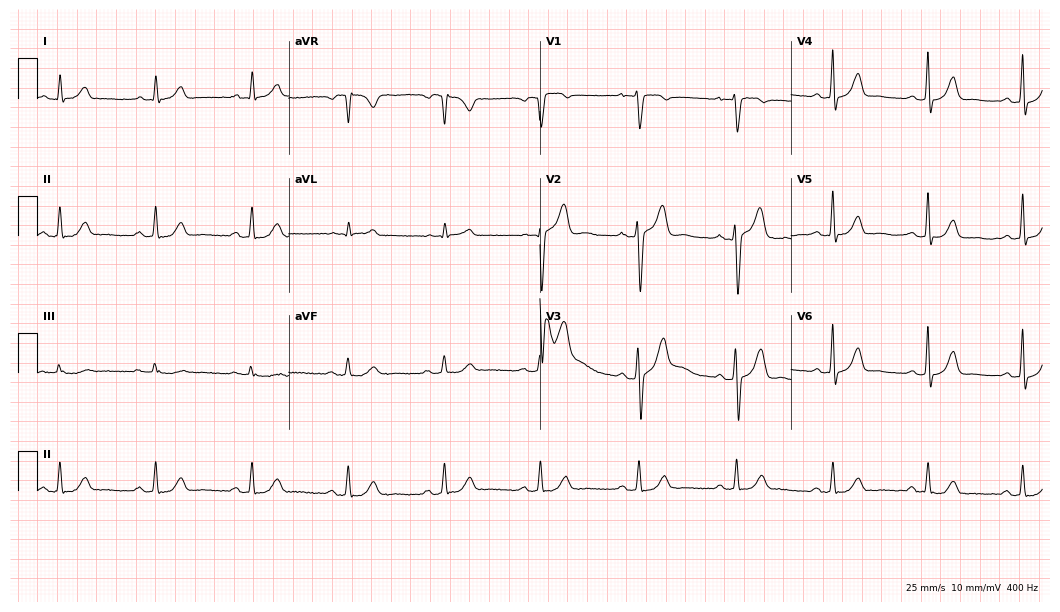
12-lead ECG from a 44-year-old male patient. Recorded interpretation: within normal limits.